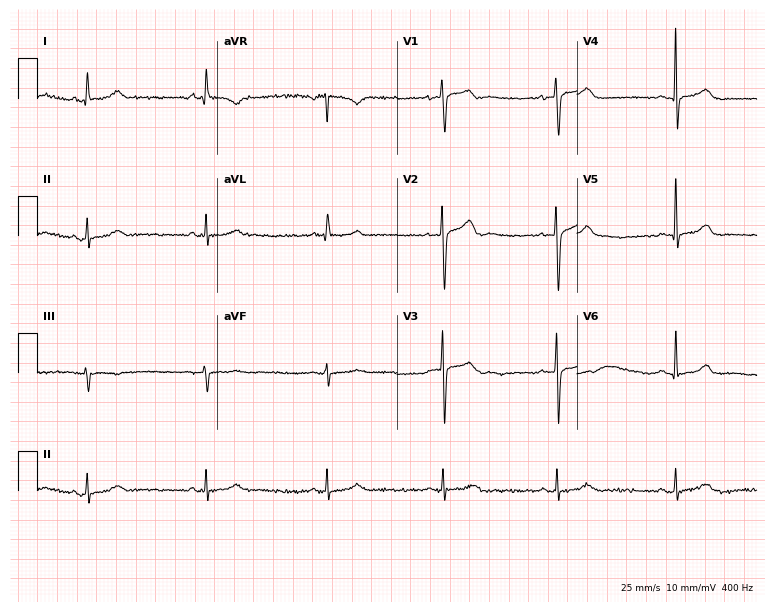
12-lead ECG from a female, 36 years old. Labelled as a normal ECG.